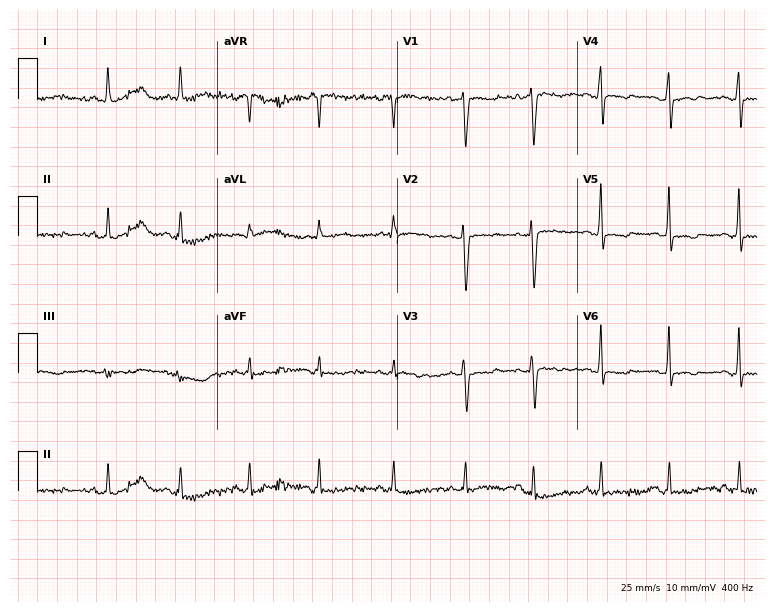
12-lead ECG from a 41-year-old female patient (7.3-second recording at 400 Hz). No first-degree AV block, right bundle branch block (RBBB), left bundle branch block (LBBB), sinus bradycardia, atrial fibrillation (AF) or sinus tachycardia recorded for this tracing. Other findings, if any, are not listed.